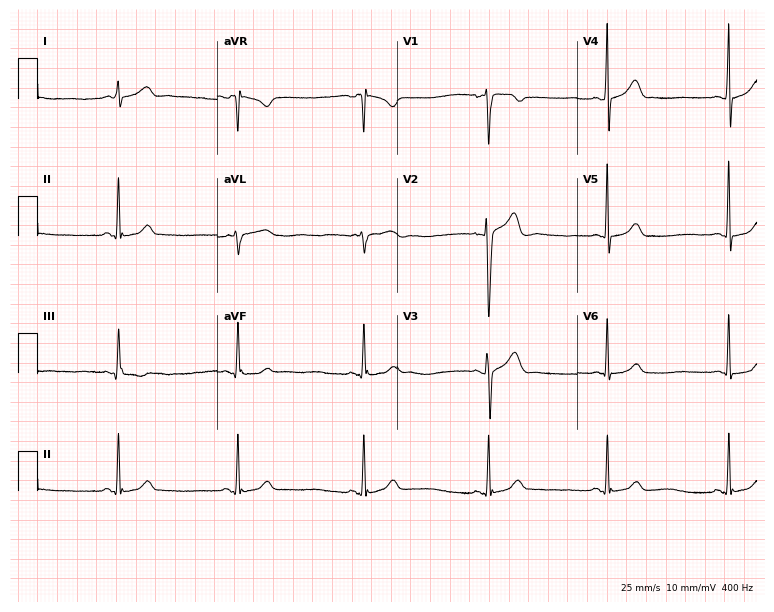
Standard 12-lead ECG recorded from a man, 27 years old. None of these six findings is recorded: first-degree AV block, right bundle branch block, left bundle branch block, sinus bradycardia, atrial fibrillation, sinus tachycardia. Findings outside these six are not listed.